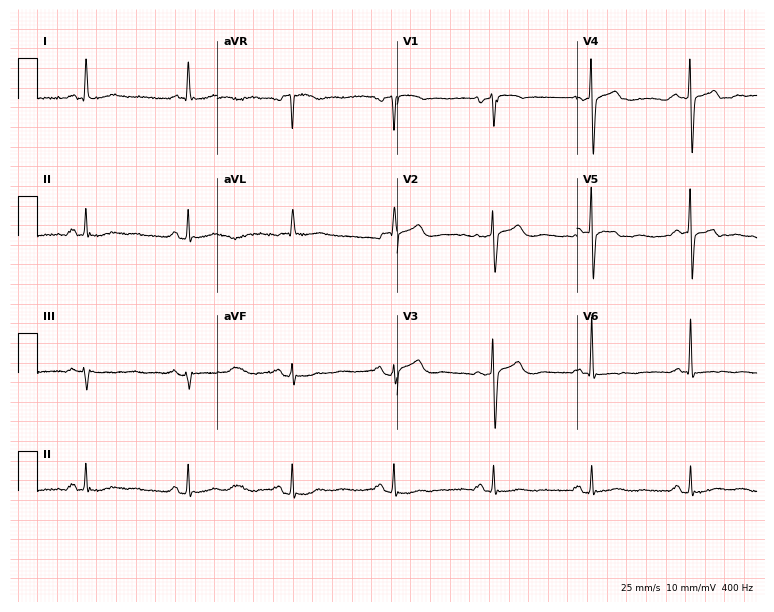
Electrocardiogram (7.3-second recording at 400 Hz), a male, 84 years old. Of the six screened findings (first-degree AV block, right bundle branch block, left bundle branch block, sinus bradycardia, atrial fibrillation, sinus tachycardia), none is recorded.